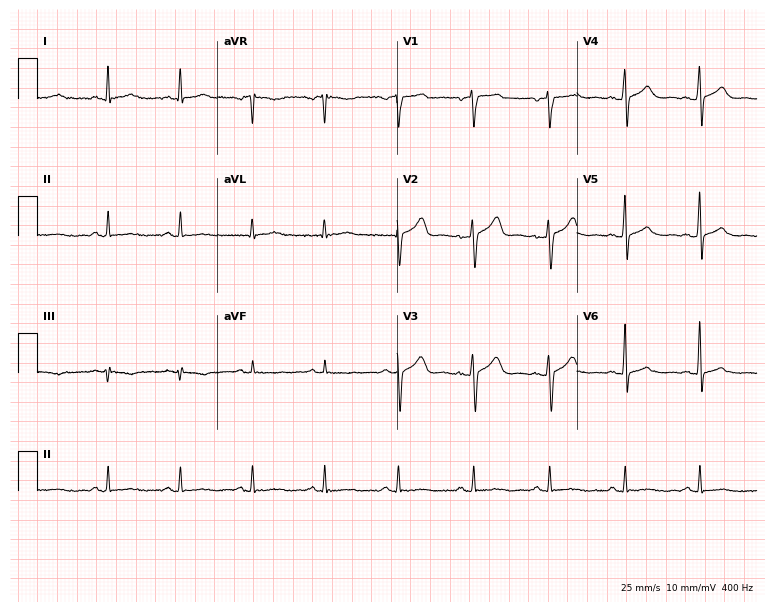
Resting 12-lead electrocardiogram (7.3-second recording at 400 Hz). Patient: a male, 47 years old. Read as a normal ECG.